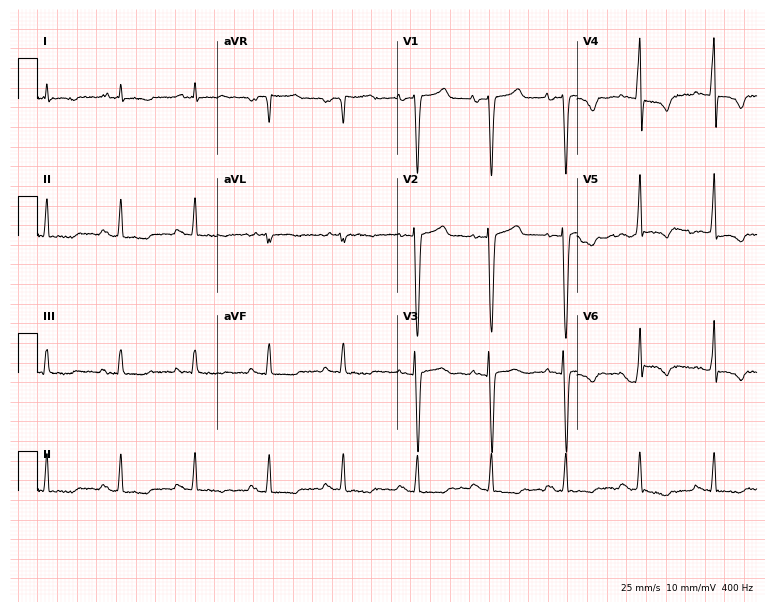
ECG — a 62-year-old man. Screened for six findings — first-degree AV block, right bundle branch block (RBBB), left bundle branch block (LBBB), sinus bradycardia, atrial fibrillation (AF), sinus tachycardia — none is recorded.